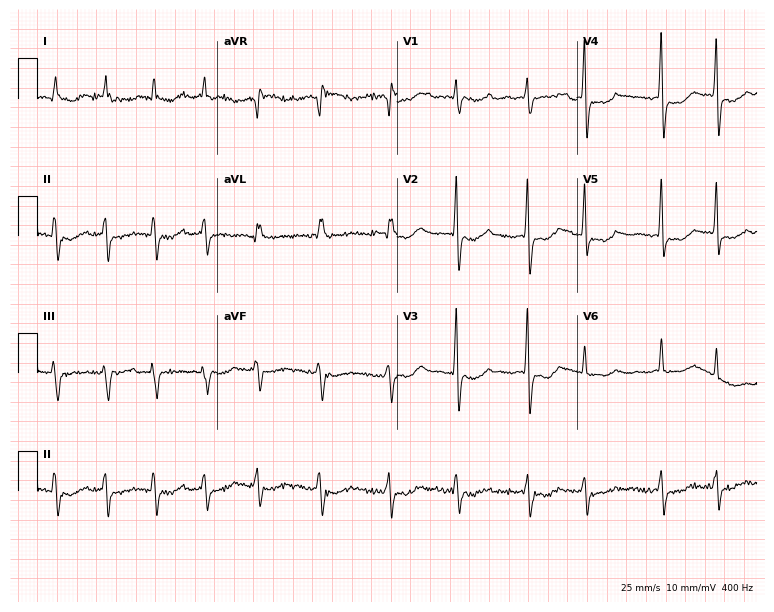
Resting 12-lead electrocardiogram (7.3-second recording at 400 Hz). Patient: a female, 80 years old. None of these six findings is recorded: first-degree AV block, right bundle branch block, left bundle branch block, sinus bradycardia, atrial fibrillation, sinus tachycardia.